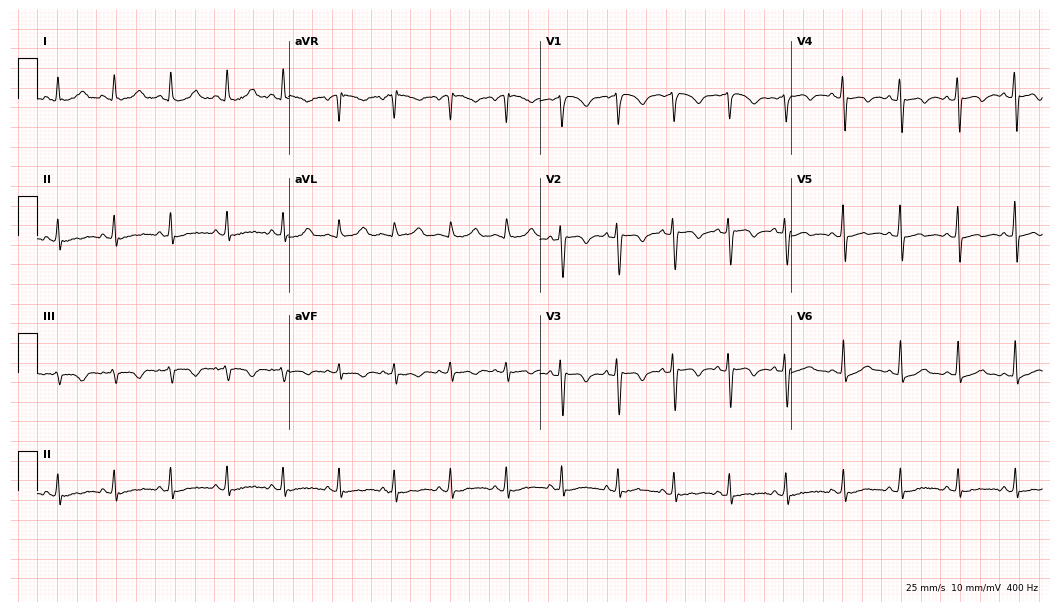
12-lead ECG (10.2-second recording at 400 Hz) from a 31-year-old female. Findings include sinus tachycardia (a sinus rate of 100 beats per minute or more).